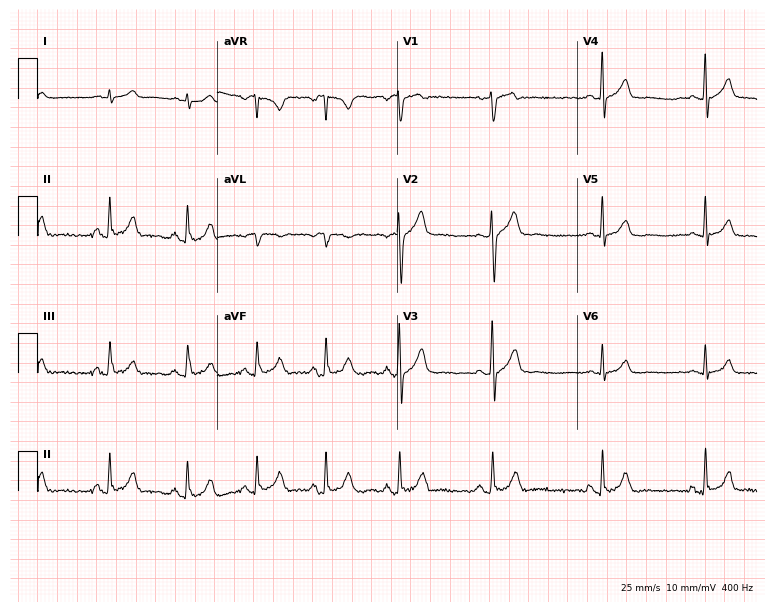
12-lead ECG from a 29-year-old male patient (7.3-second recording at 400 Hz). Recorded interpretation: within normal limits.